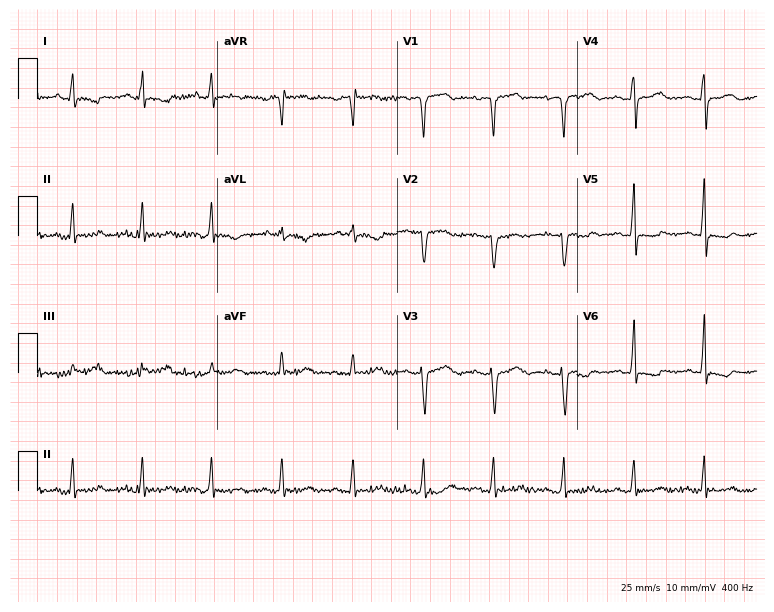
12-lead ECG from a 77-year-old male patient (7.3-second recording at 400 Hz). No first-degree AV block, right bundle branch block, left bundle branch block, sinus bradycardia, atrial fibrillation or sinus tachycardia recorded for this tracing.